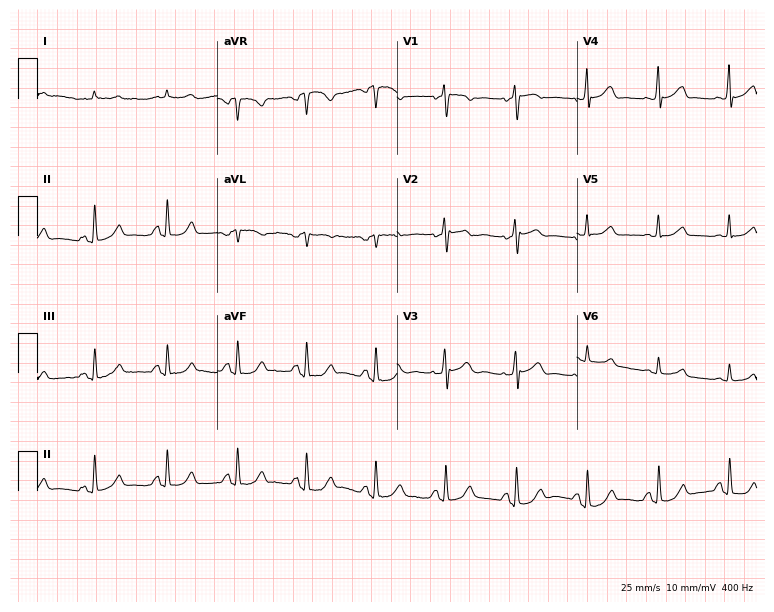
Resting 12-lead electrocardiogram (7.3-second recording at 400 Hz). Patient: a 76-year-old male. None of these six findings is recorded: first-degree AV block, right bundle branch block (RBBB), left bundle branch block (LBBB), sinus bradycardia, atrial fibrillation (AF), sinus tachycardia. Other findings, if any, are not listed.